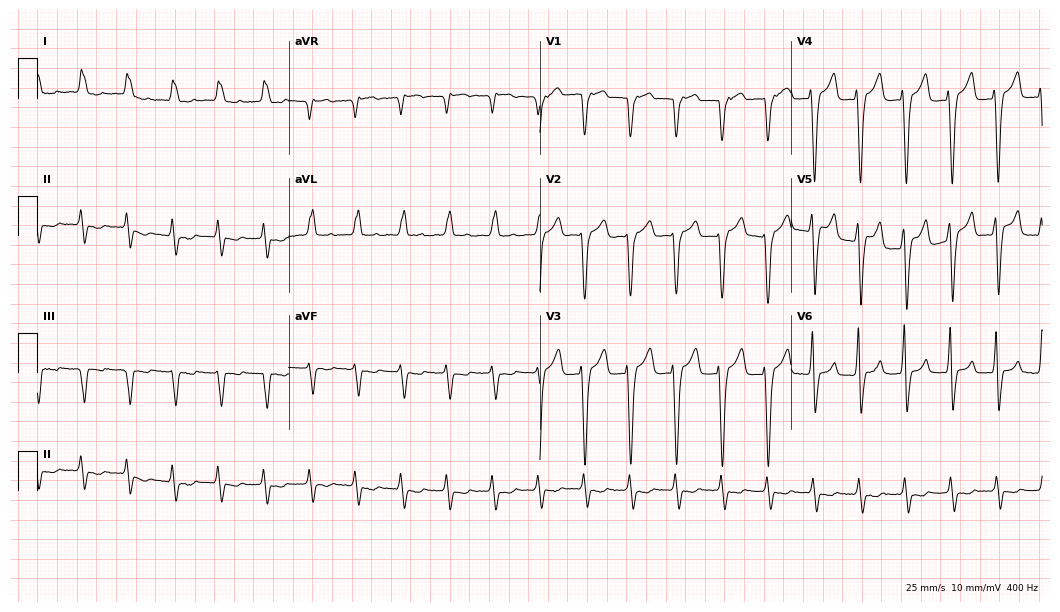
ECG — a 66-year-old female. Findings include left bundle branch block (LBBB), sinus tachycardia (a sinus rate of 100 beats per minute or more).